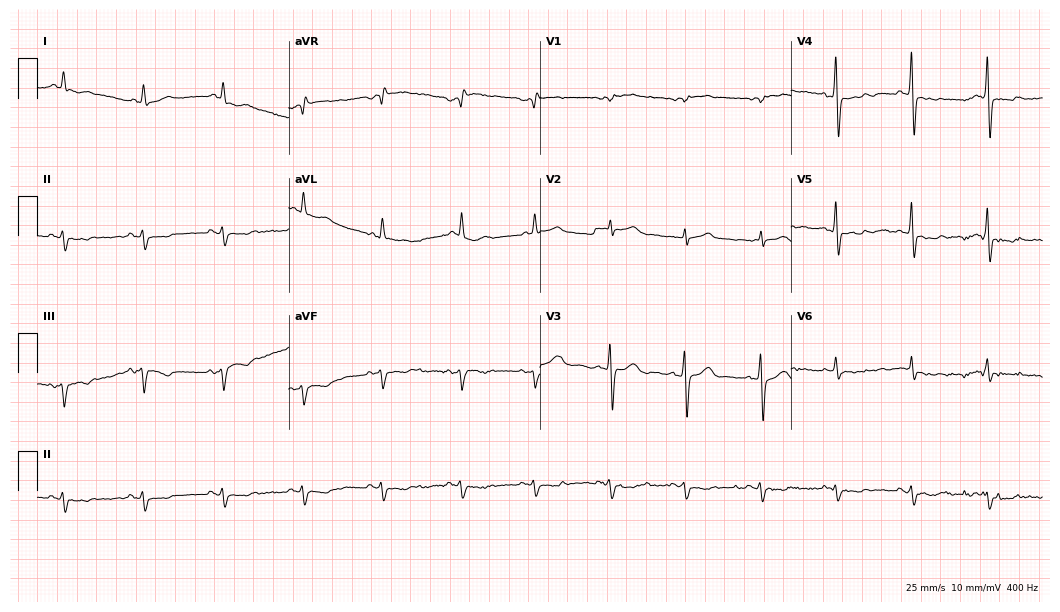
Standard 12-lead ECG recorded from a 64-year-old male patient (10.2-second recording at 400 Hz). None of these six findings is recorded: first-degree AV block, right bundle branch block (RBBB), left bundle branch block (LBBB), sinus bradycardia, atrial fibrillation (AF), sinus tachycardia.